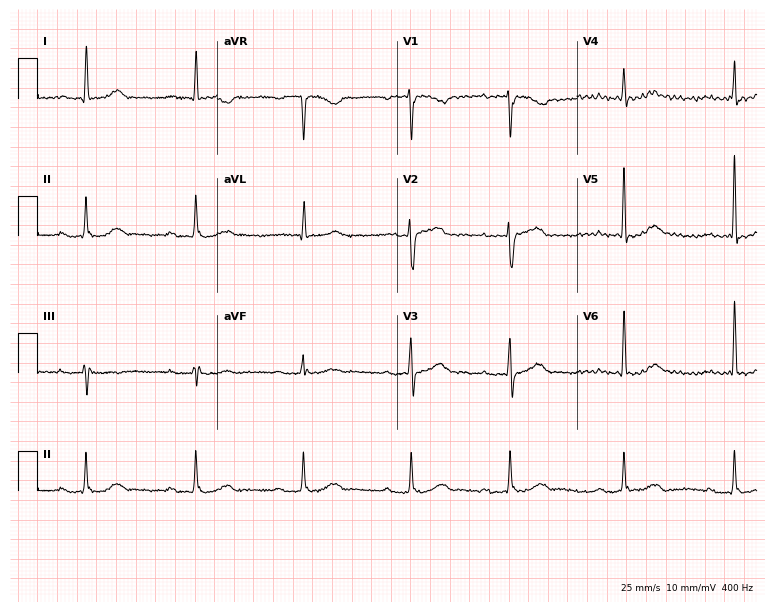
12-lead ECG from an 82-year-old male patient. Findings include first-degree AV block.